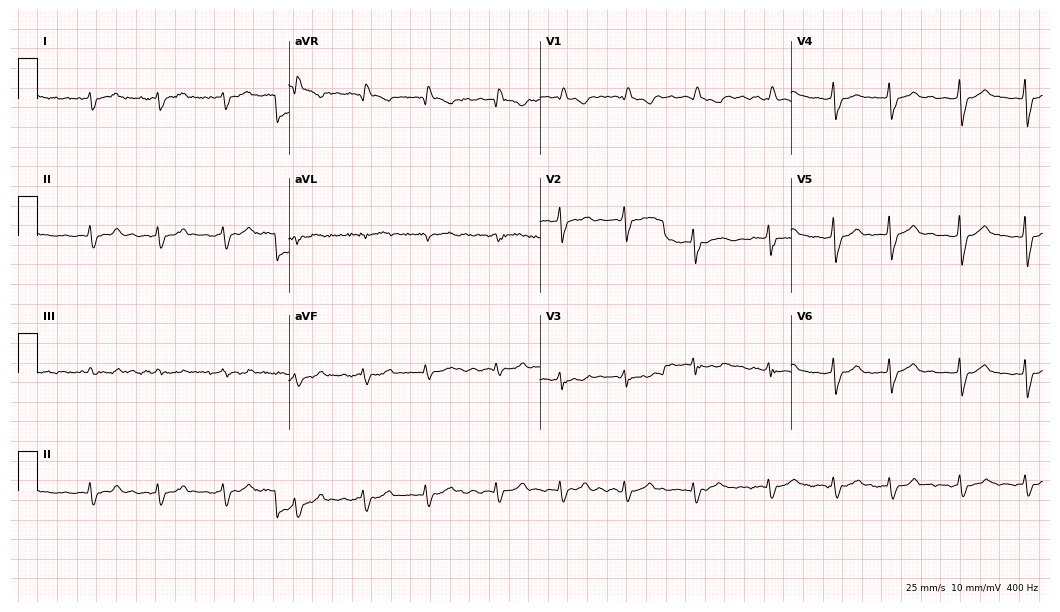
12-lead ECG from a 75-year-old male. Findings include right bundle branch block, atrial fibrillation.